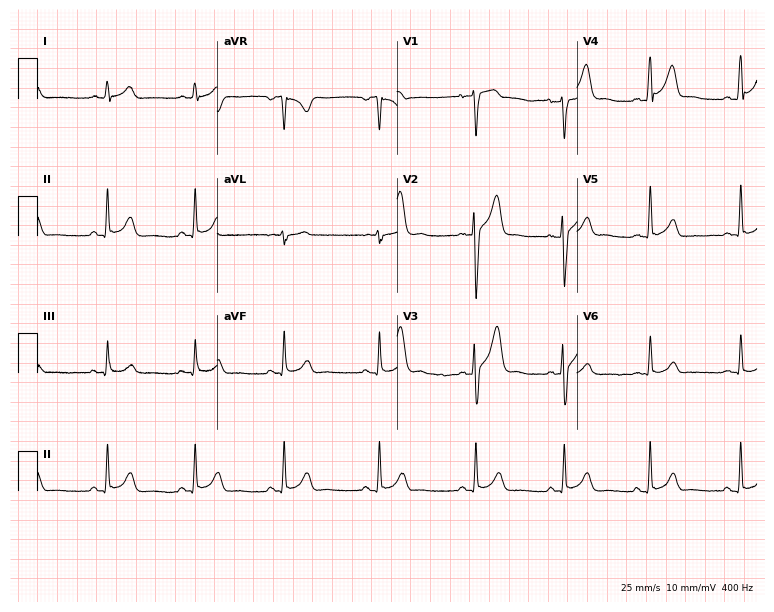
Standard 12-lead ECG recorded from a 30-year-old male. None of these six findings is recorded: first-degree AV block, right bundle branch block, left bundle branch block, sinus bradycardia, atrial fibrillation, sinus tachycardia.